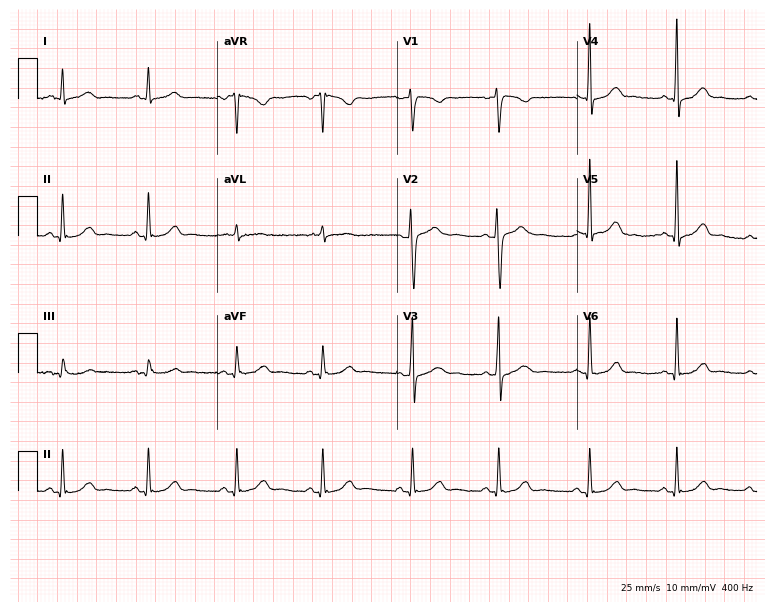
Resting 12-lead electrocardiogram. Patient: a 35-year-old woman. Read as a normal ECG.